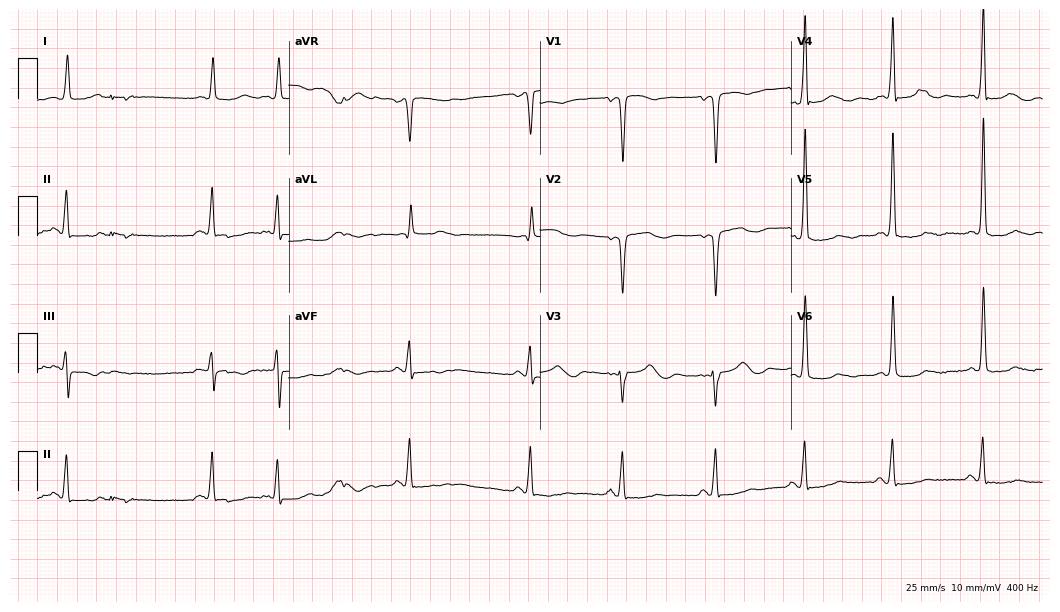
Electrocardiogram, a woman, 79 years old. Of the six screened findings (first-degree AV block, right bundle branch block (RBBB), left bundle branch block (LBBB), sinus bradycardia, atrial fibrillation (AF), sinus tachycardia), none is recorded. Only these six findings were labelled.